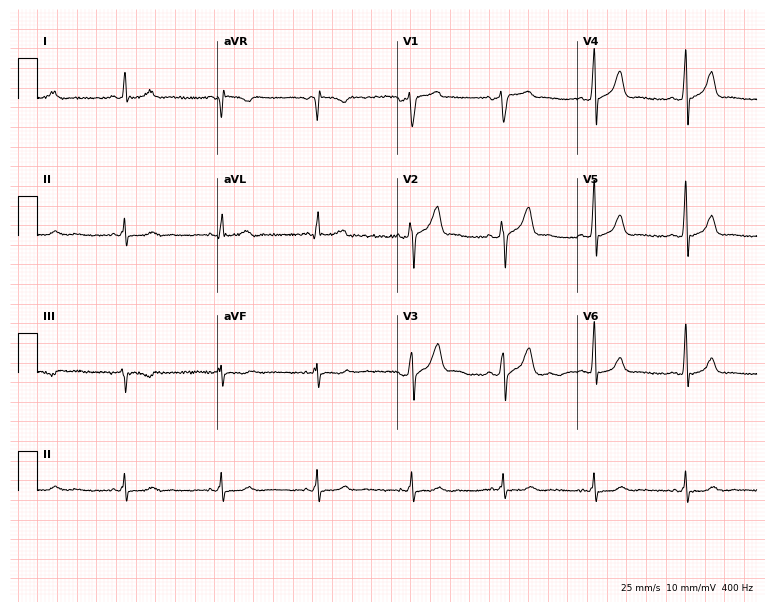
Electrocardiogram (7.3-second recording at 400 Hz), a man, 62 years old. Of the six screened findings (first-degree AV block, right bundle branch block, left bundle branch block, sinus bradycardia, atrial fibrillation, sinus tachycardia), none is recorded.